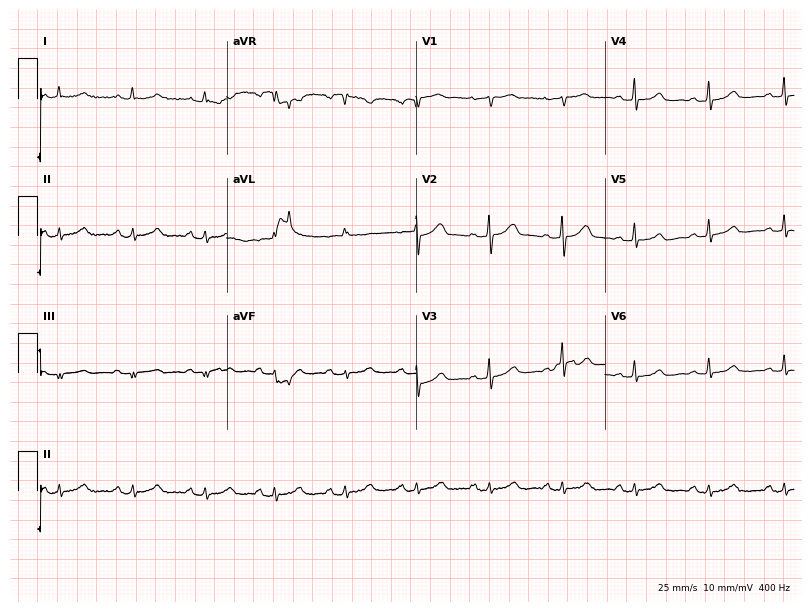
12-lead ECG from a woman, 29 years old. No first-degree AV block, right bundle branch block, left bundle branch block, sinus bradycardia, atrial fibrillation or sinus tachycardia recorded for this tracing.